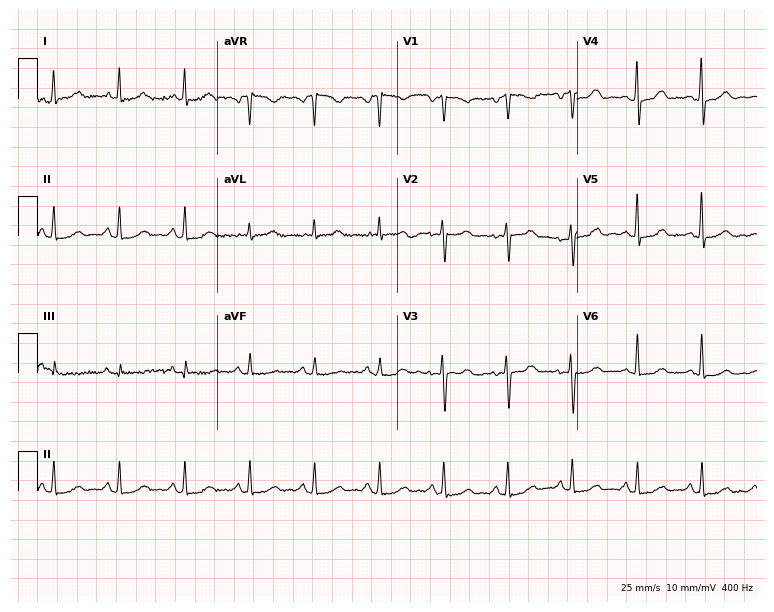
Standard 12-lead ECG recorded from a woman, 59 years old (7.3-second recording at 400 Hz). None of these six findings is recorded: first-degree AV block, right bundle branch block, left bundle branch block, sinus bradycardia, atrial fibrillation, sinus tachycardia.